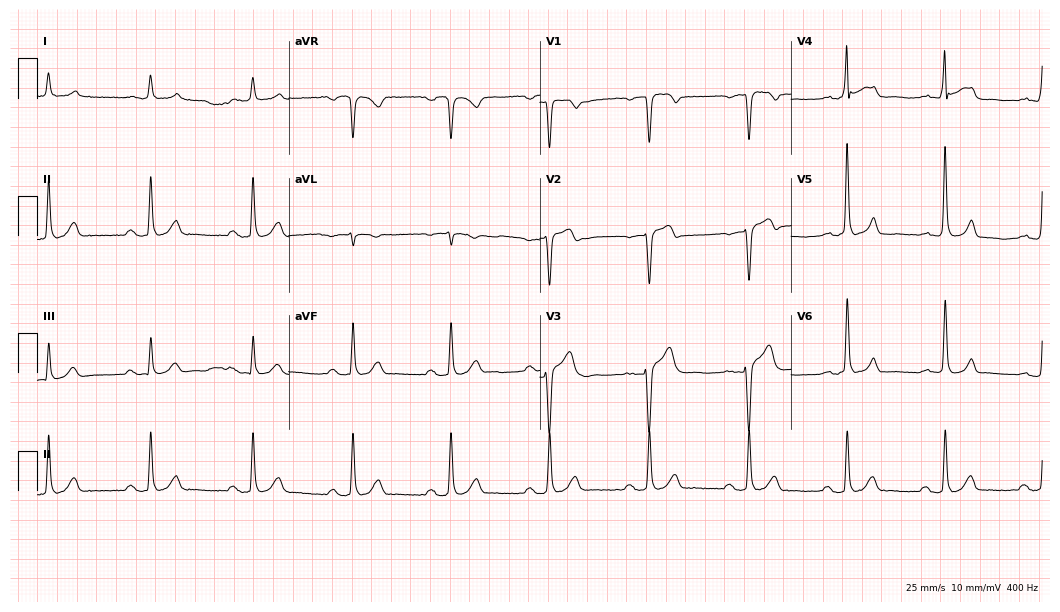
12-lead ECG from a 76-year-old man. No first-degree AV block, right bundle branch block (RBBB), left bundle branch block (LBBB), sinus bradycardia, atrial fibrillation (AF) or sinus tachycardia recorded for this tracing. Only these six findings were labelled.